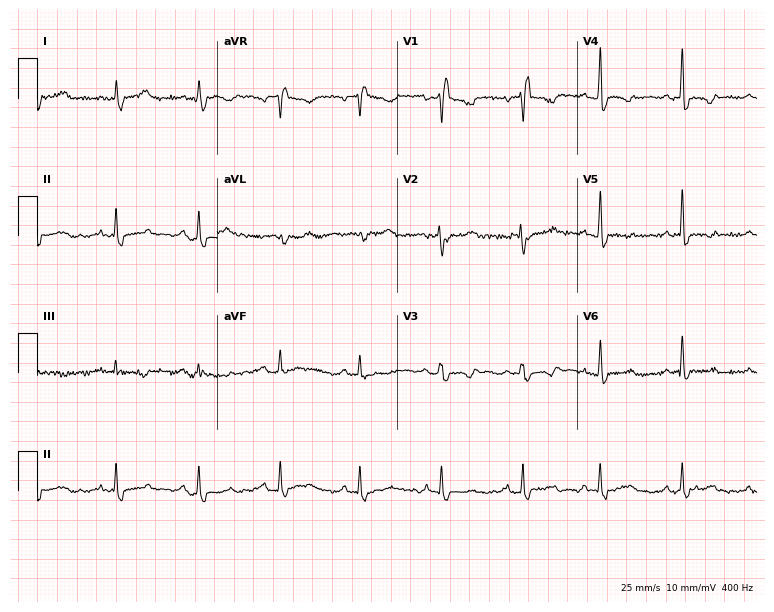
ECG (7.3-second recording at 400 Hz) — a woman, 38 years old. Findings include right bundle branch block.